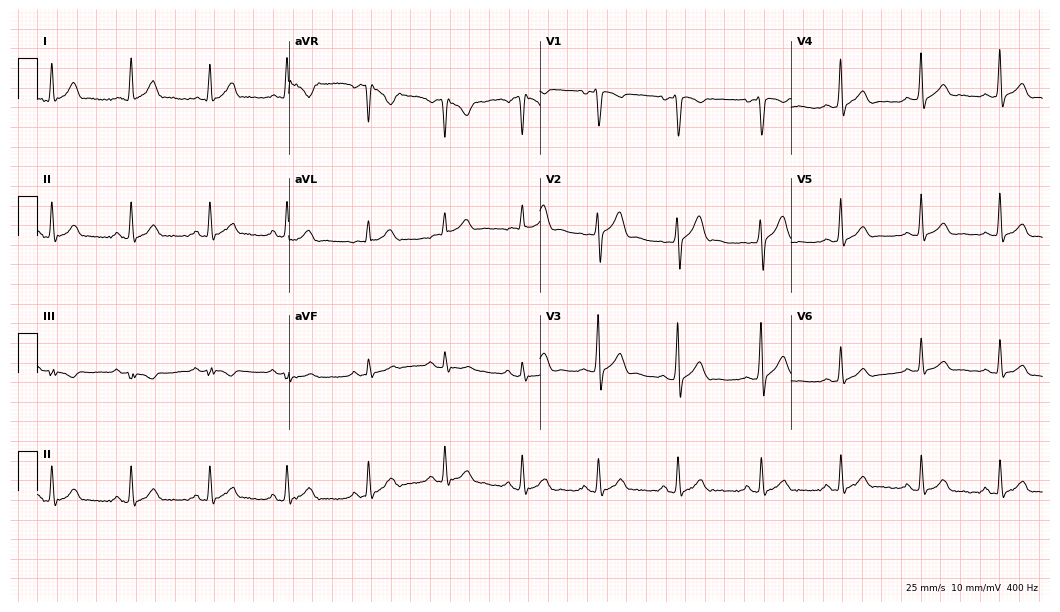
12-lead ECG from a 26-year-old male patient. Recorded interpretation: within normal limits.